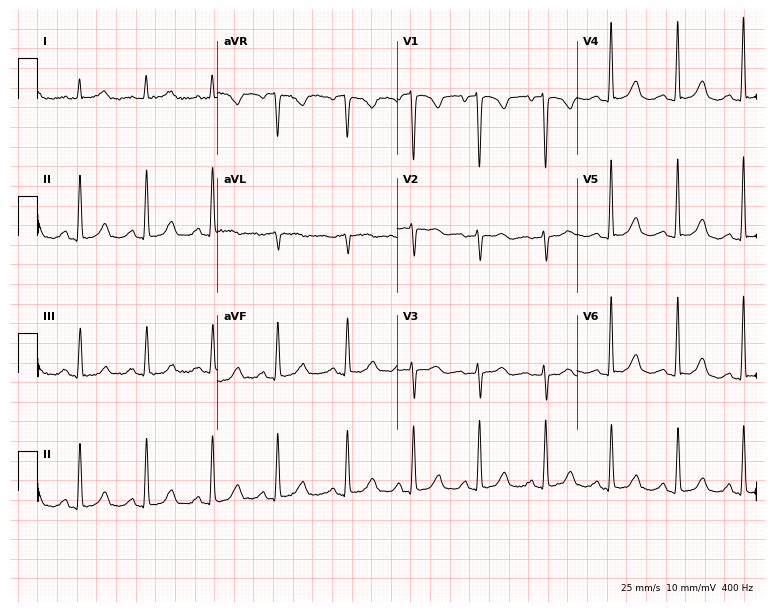
Resting 12-lead electrocardiogram (7.3-second recording at 400 Hz). Patient: a female, 67 years old. None of these six findings is recorded: first-degree AV block, right bundle branch block, left bundle branch block, sinus bradycardia, atrial fibrillation, sinus tachycardia. Other findings, if any, are not listed.